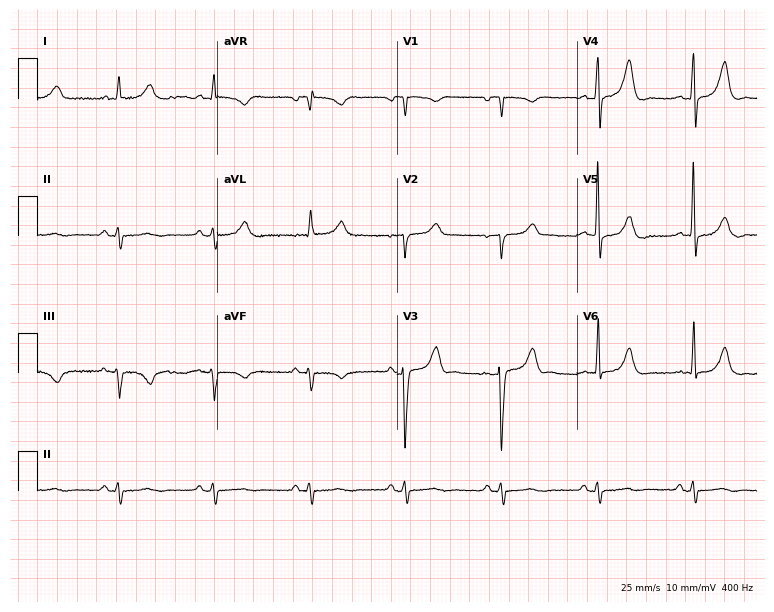
Electrocardiogram (7.3-second recording at 400 Hz), a 70-year-old man. Of the six screened findings (first-degree AV block, right bundle branch block (RBBB), left bundle branch block (LBBB), sinus bradycardia, atrial fibrillation (AF), sinus tachycardia), none is recorded. Other findings, if any, are not listed.